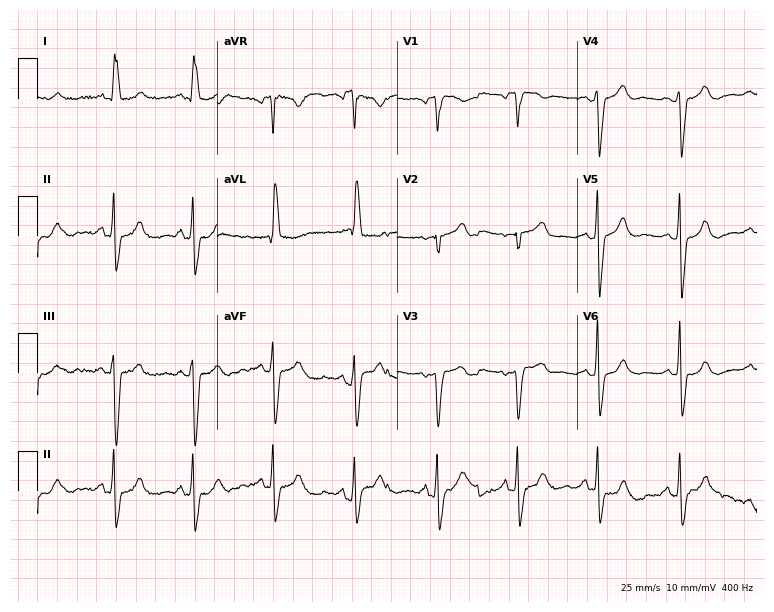
12-lead ECG from a 78-year-old woman. Screened for six findings — first-degree AV block, right bundle branch block (RBBB), left bundle branch block (LBBB), sinus bradycardia, atrial fibrillation (AF), sinus tachycardia — none is recorded.